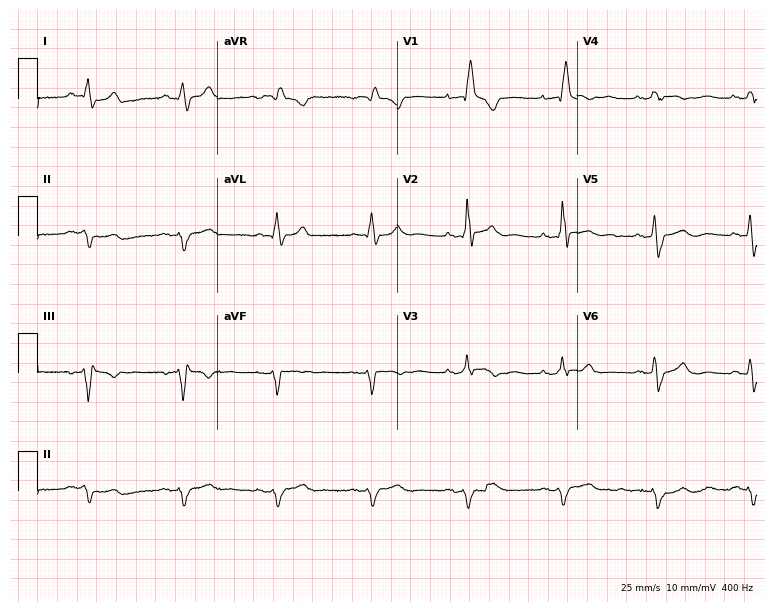
ECG — a male patient, 74 years old. Findings include right bundle branch block.